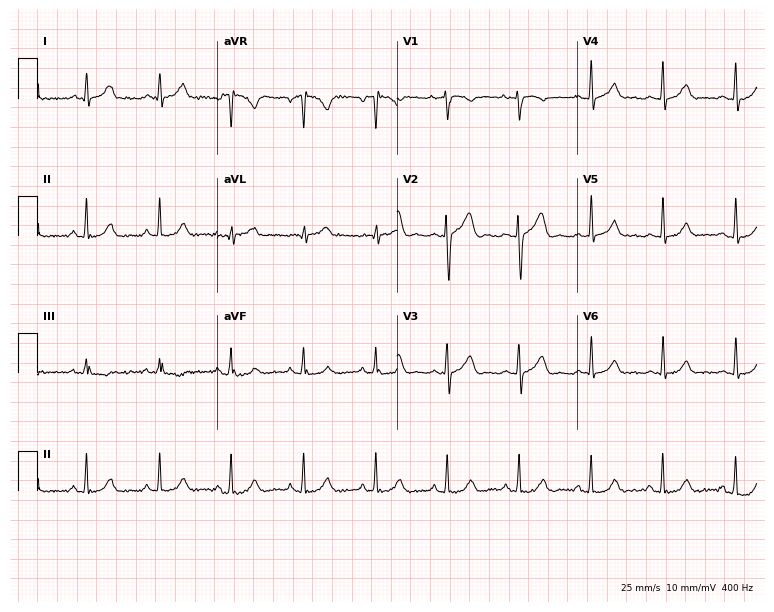
Electrocardiogram (7.3-second recording at 400 Hz), a 20-year-old male. Overall reading on record: normal ECG.